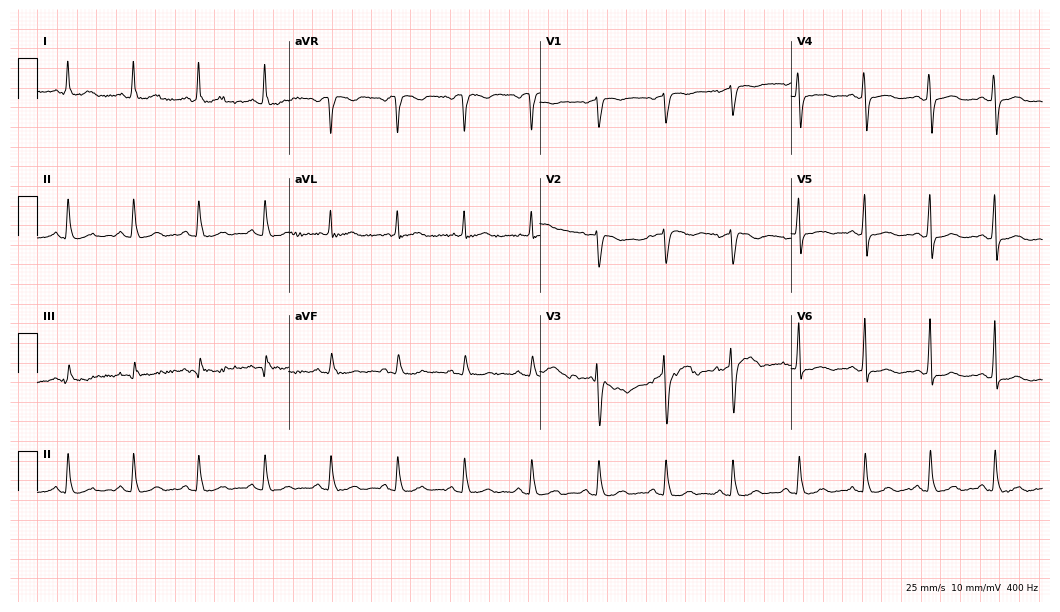
Standard 12-lead ECG recorded from a 51-year-old female patient. Read as a normal ECG.